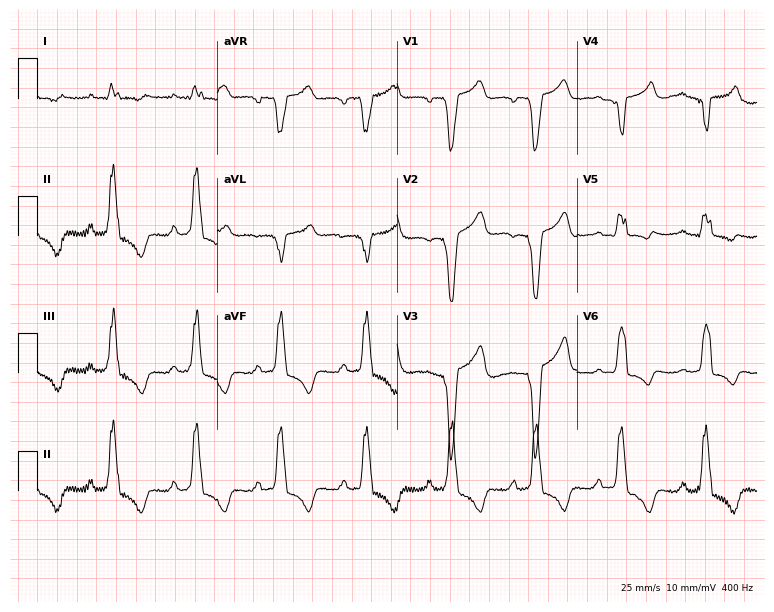
12-lead ECG (7.3-second recording at 400 Hz) from a woman, 57 years old. Findings include left bundle branch block (LBBB).